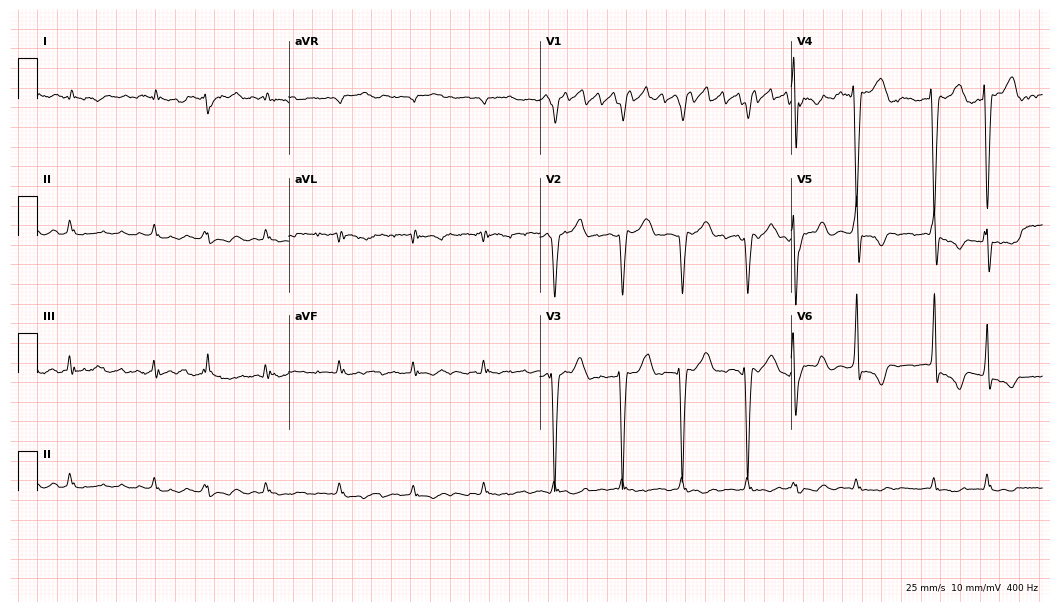
12-lead ECG from a male, 57 years old. Shows atrial fibrillation.